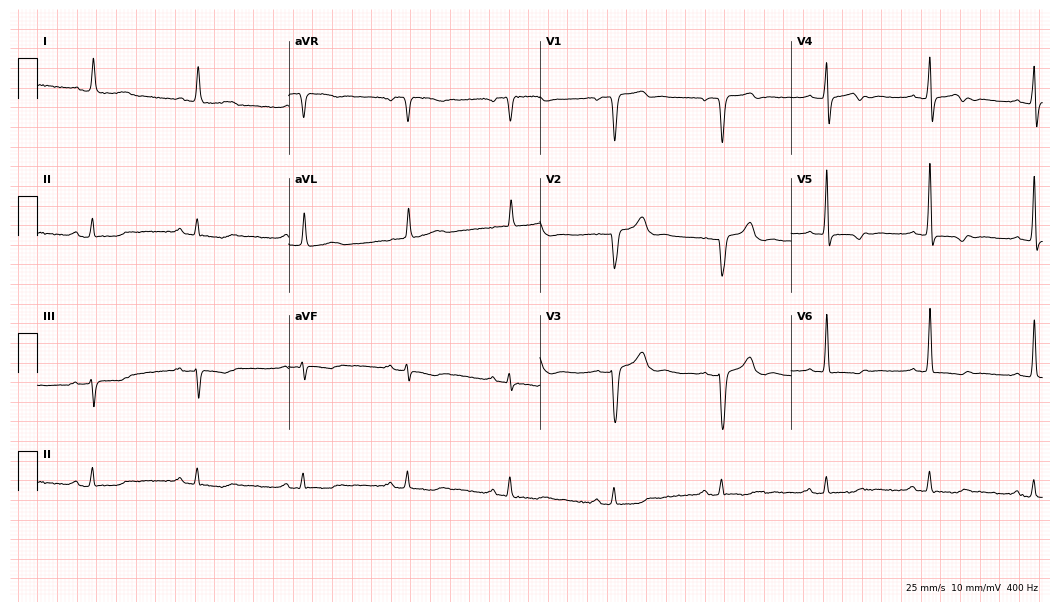
Resting 12-lead electrocardiogram. Patient: a female, 68 years old. None of these six findings is recorded: first-degree AV block, right bundle branch block (RBBB), left bundle branch block (LBBB), sinus bradycardia, atrial fibrillation (AF), sinus tachycardia. Only these six findings were labelled.